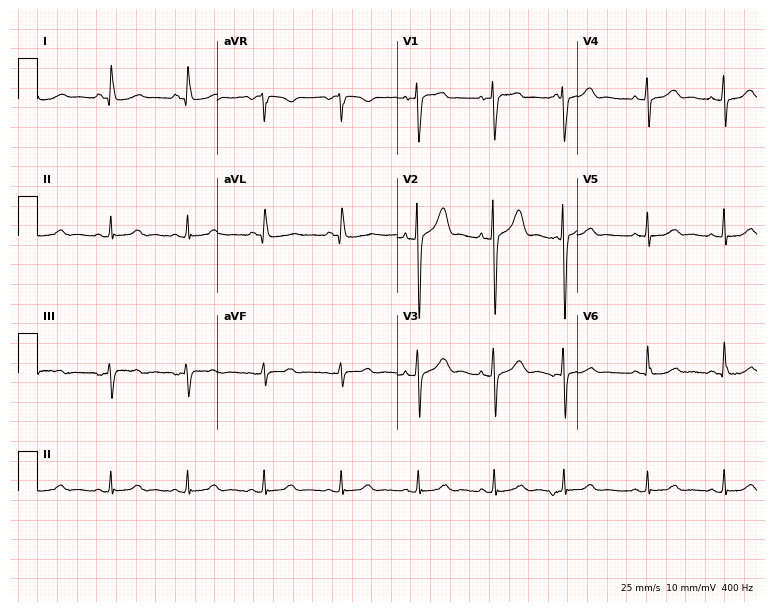
Resting 12-lead electrocardiogram. Patient: a male, 83 years old. Read as a normal ECG.